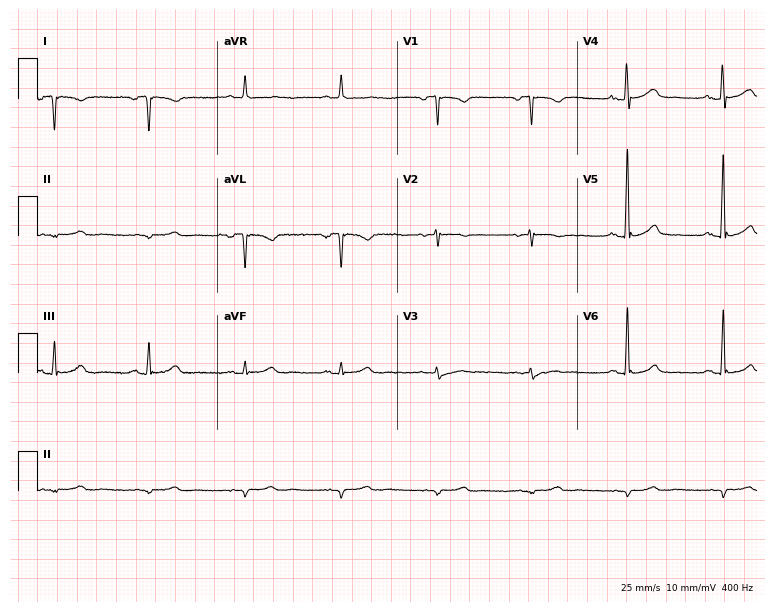
Resting 12-lead electrocardiogram. Patient: a female, 60 years old. None of these six findings is recorded: first-degree AV block, right bundle branch block, left bundle branch block, sinus bradycardia, atrial fibrillation, sinus tachycardia.